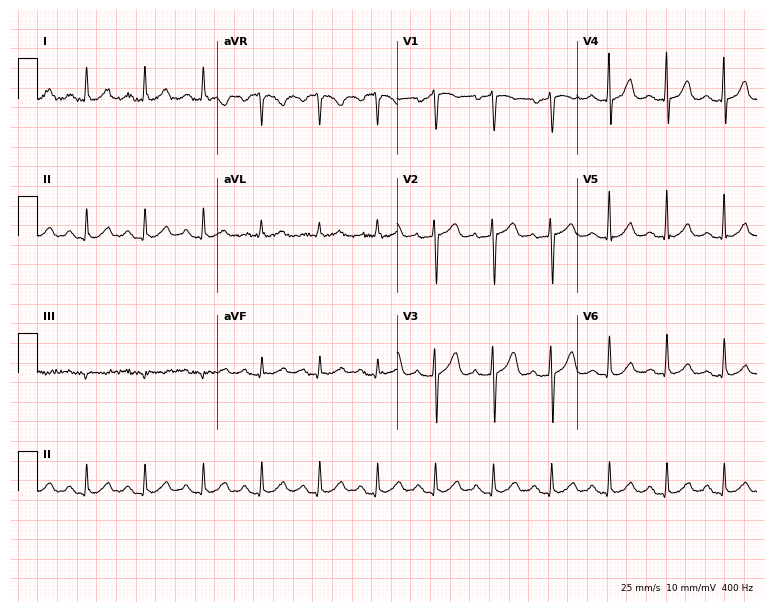
12-lead ECG (7.3-second recording at 400 Hz) from a female, 60 years old. Findings include sinus tachycardia (a sinus rate of 100 beats per minute or more).